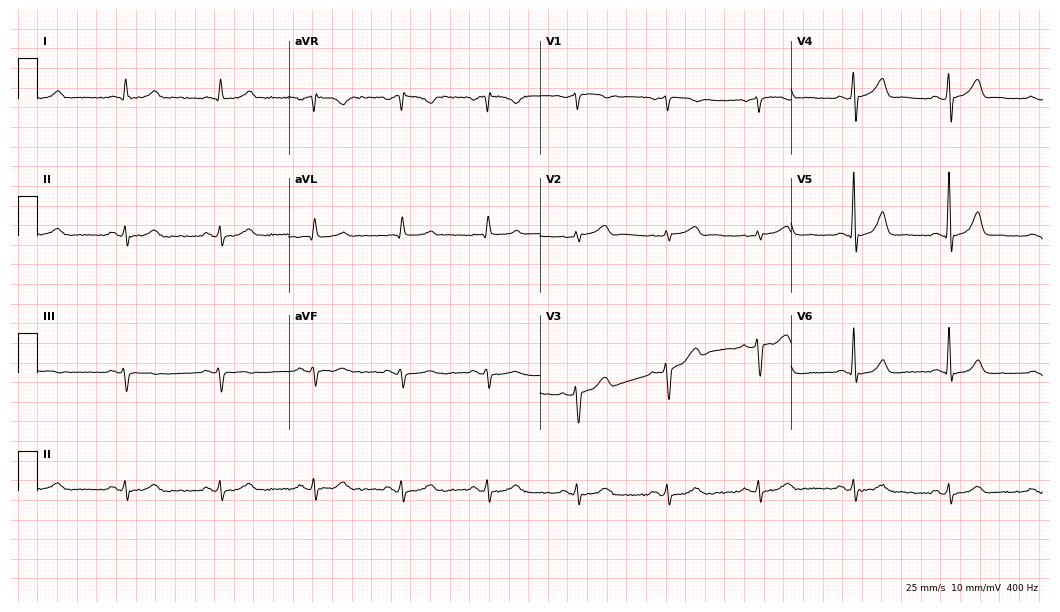
12-lead ECG from a male, 66 years old (10.2-second recording at 400 Hz). Recorded interpretation: within normal limits.